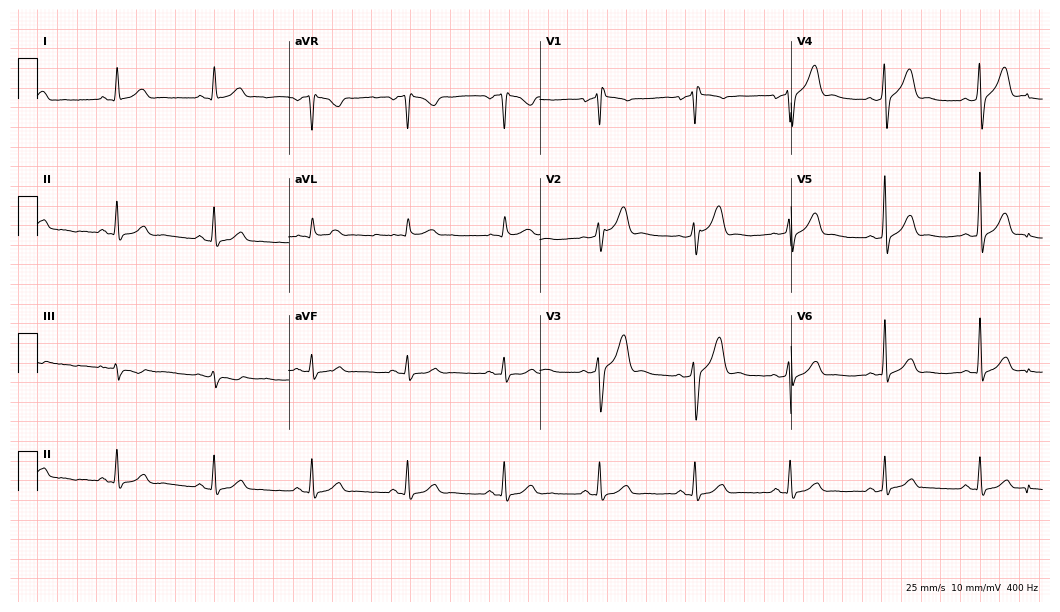
12-lead ECG from a man, 57 years old. Screened for six findings — first-degree AV block, right bundle branch block (RBBB), left bundle branch block (LBBB), sinus bradycardia, atrial fibrillation (AF), sinus tachycardia — none is recorded.